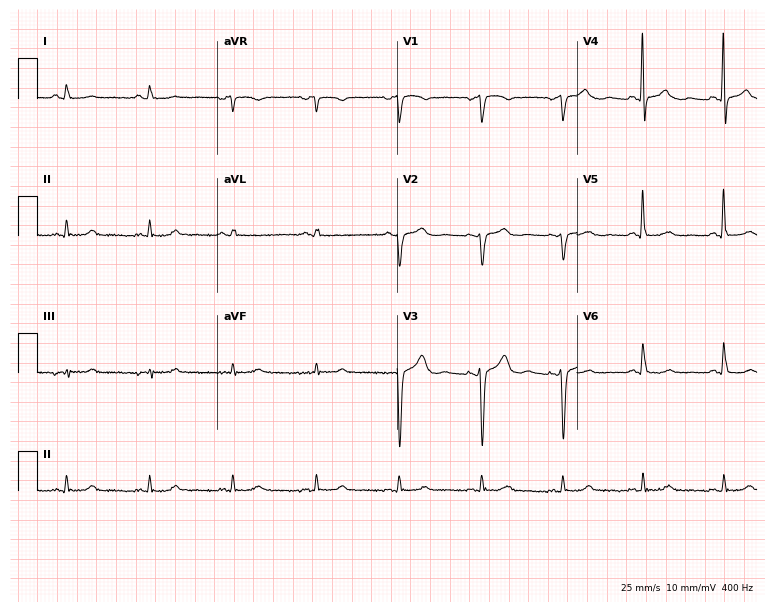
12-lead ECG from a 49-year-old female (7.3-second recording at 400 Hz). No first-degree AV block, right bundle branch block, left bundle branch block, sinus bradycardia, atrial fibrillation or sinus tachycardia recorded for this tracing. Other findings, if any, are not listed.